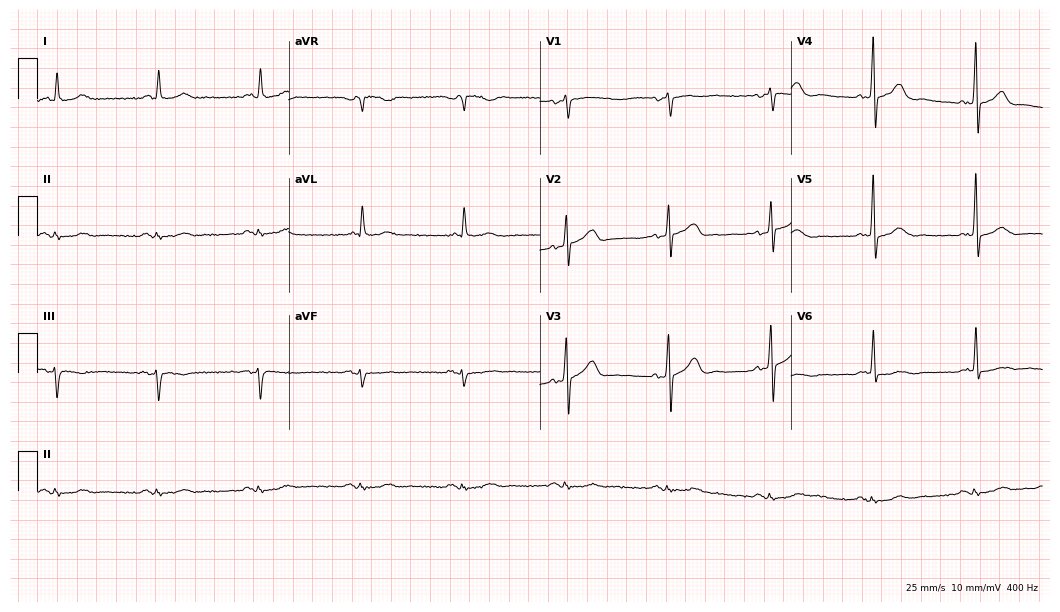
12-lead ECG from an 81-year-old male. Labelled as a normal ECG.